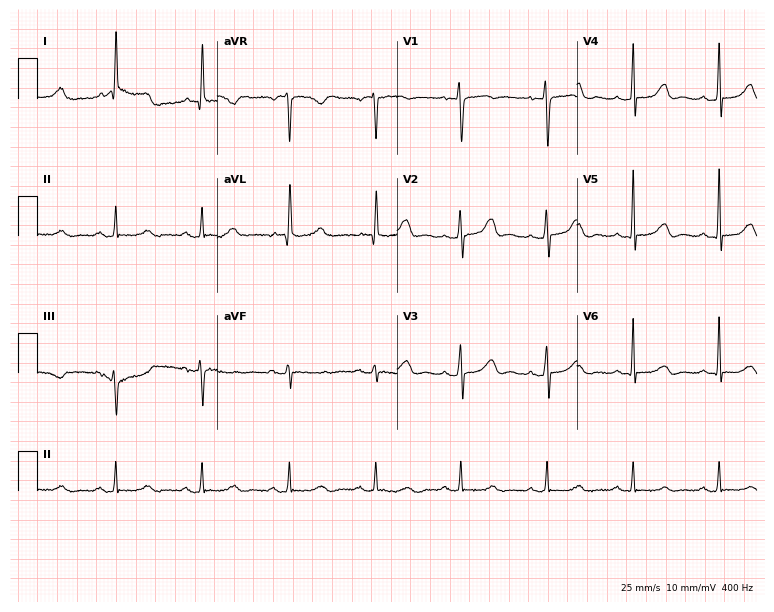
12-lead ECG from a 68-year-old female. Recorded interpretation: within normal limits.